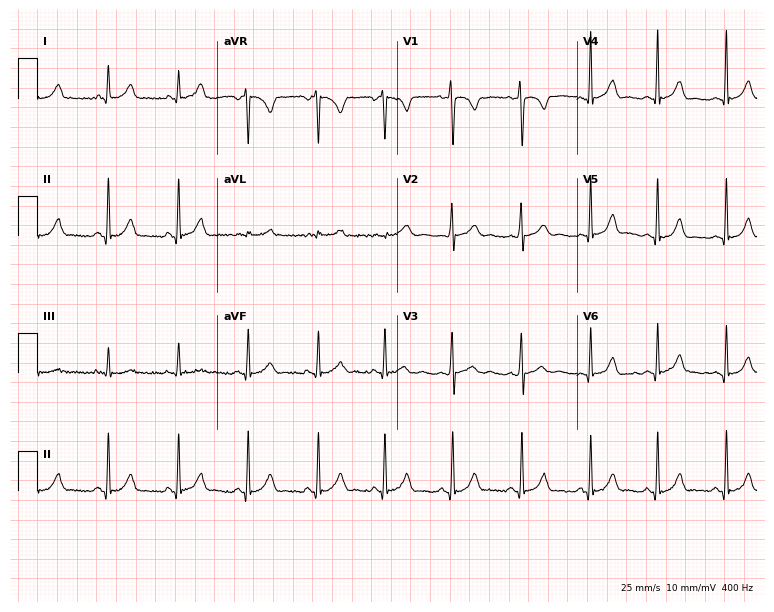
Standard 12-lead ECG recorded from a female, 20 years old. Read as a normal ECG.